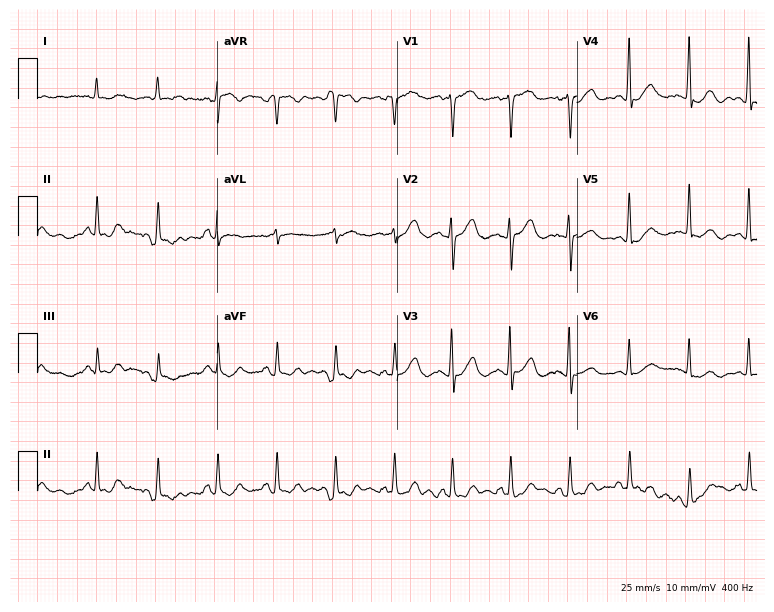
12-lead ECG from an 84-year-old female. Screened for six findings — first-degree AV block, right bundle branch block, left bundle branch block, sinus bradycardia, atrial fibrillation, sinus tachycardia — none is recorded. Other findings, if any, are not listed.